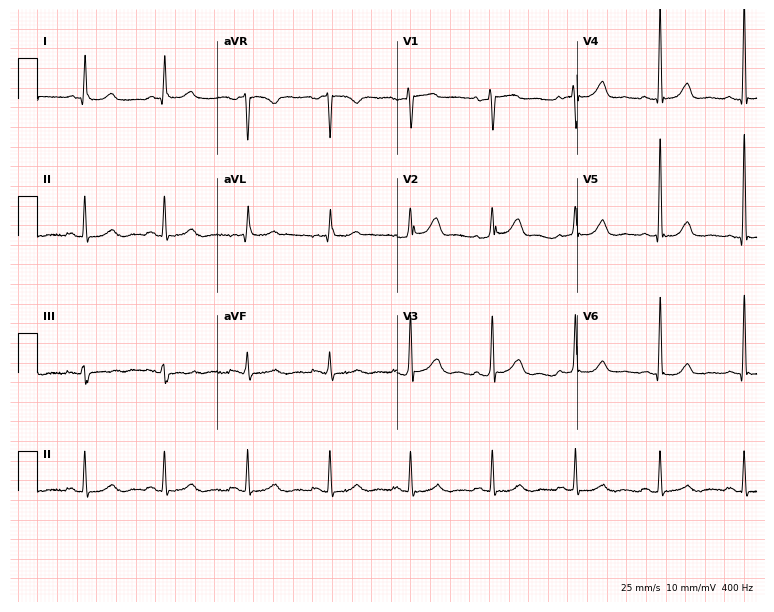
Standard 12-lead ECG recorded from a 67-year-old female patient. None of these six findings is recorded: first-degree AV block, right bundle branch block, left bundle branch block, sinus bradycardia, atrial fibrillation, sinus tachycardia.